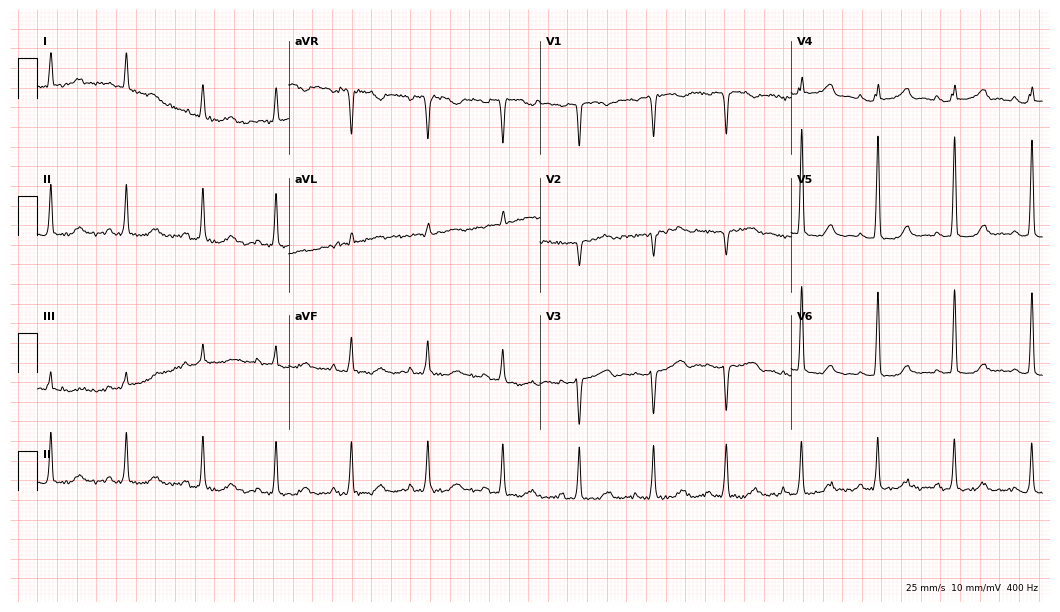
Standard 12-lead ECG recorded from a 60-year-old female (10.2-second recording at 400 Hz). Read as a normal ECG.